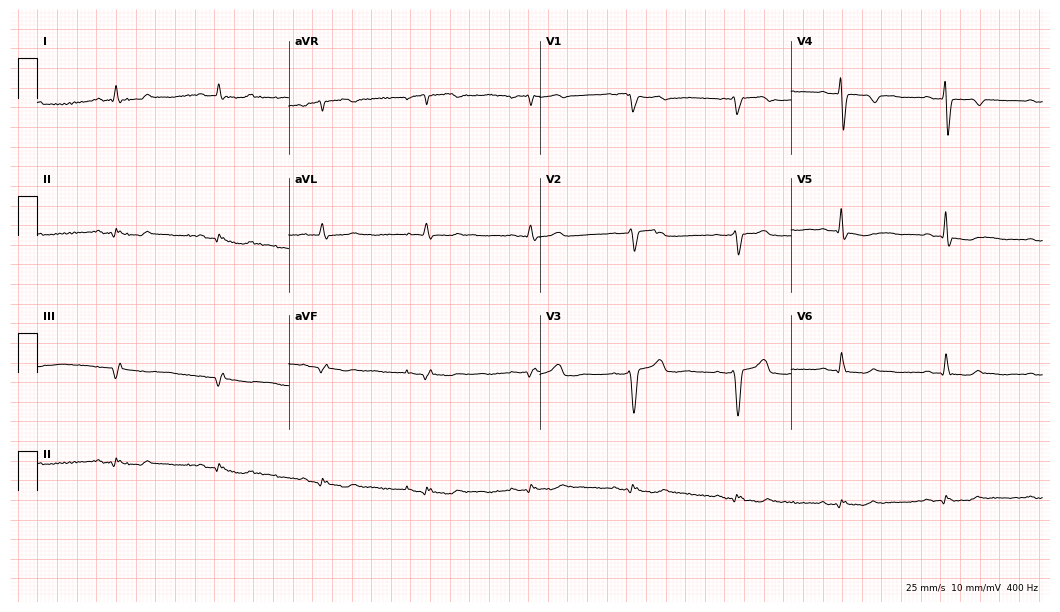
Standard 12-lead ECG recorded from a female patient, 61 years old. None of these six findings is recorded: first-degree AV block, right bundle branch block, left bundle branch block, sinus bradycardia, atrial fibrillation, sinus tachycardia.